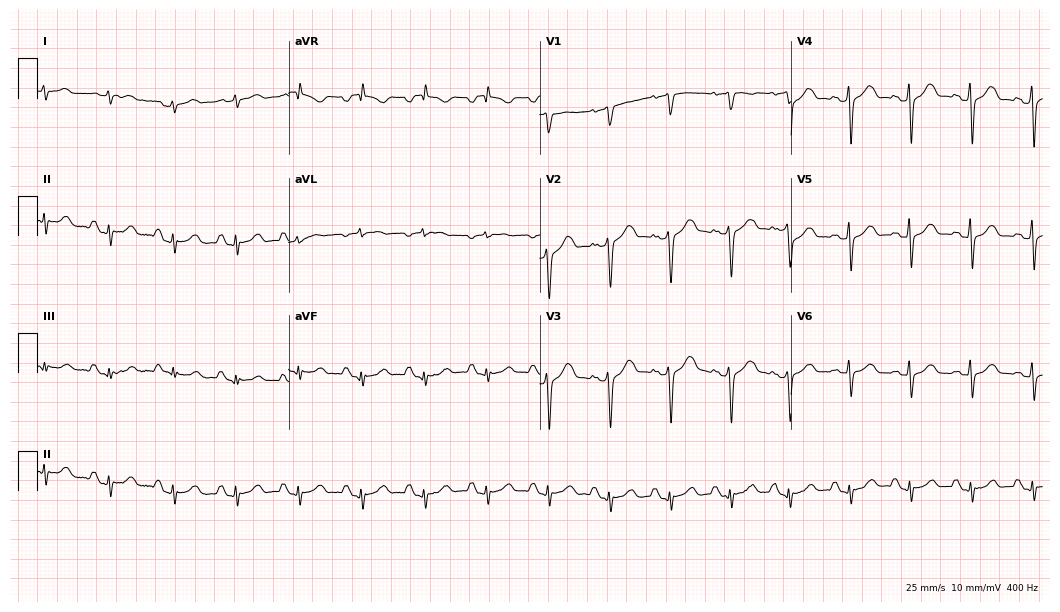
Standard 12-lead ECG recorded from a male patient, 62 years old (10.2-second recording at 400 Hz). None of these six findings is recorded: first-degree AV block, right bundle branch block, left bundle branch block, sinus bradycardia, atrial fibrillation, sinus tachycardia. Findings outside these six are not listed.